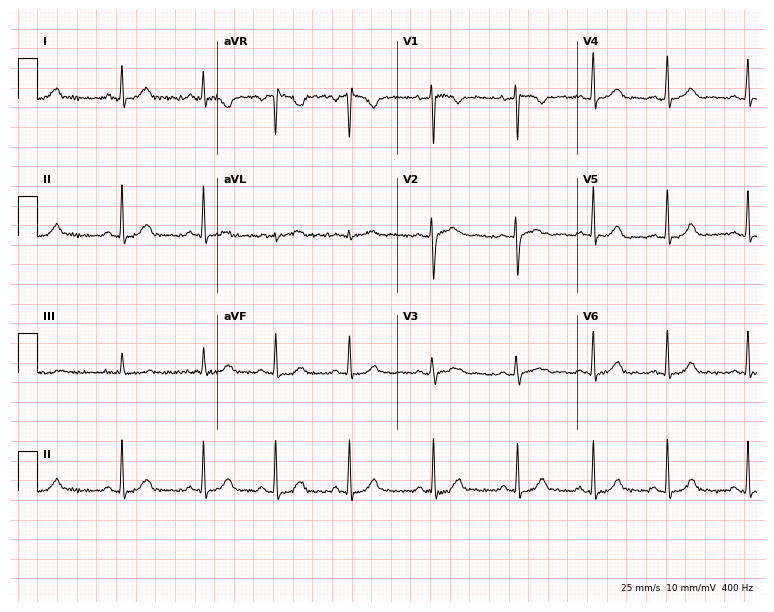
12-lead ECG (7.3-second recording at 400 Hz) from a woman, 22 years old. Labelled as a normal ECG.